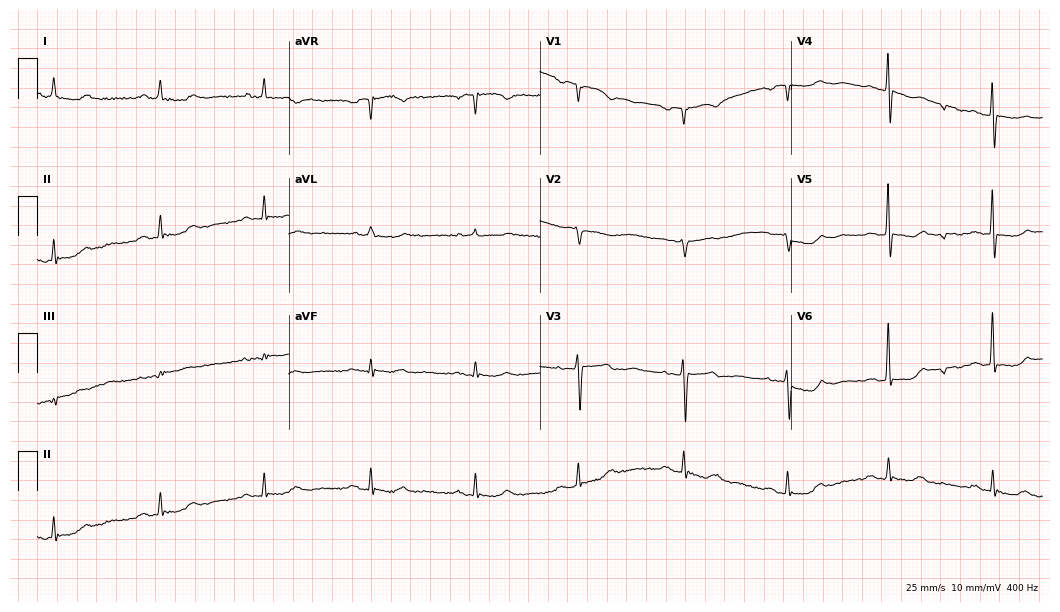
ECG — a female, 72 years old. Labelled as a normal ECG.